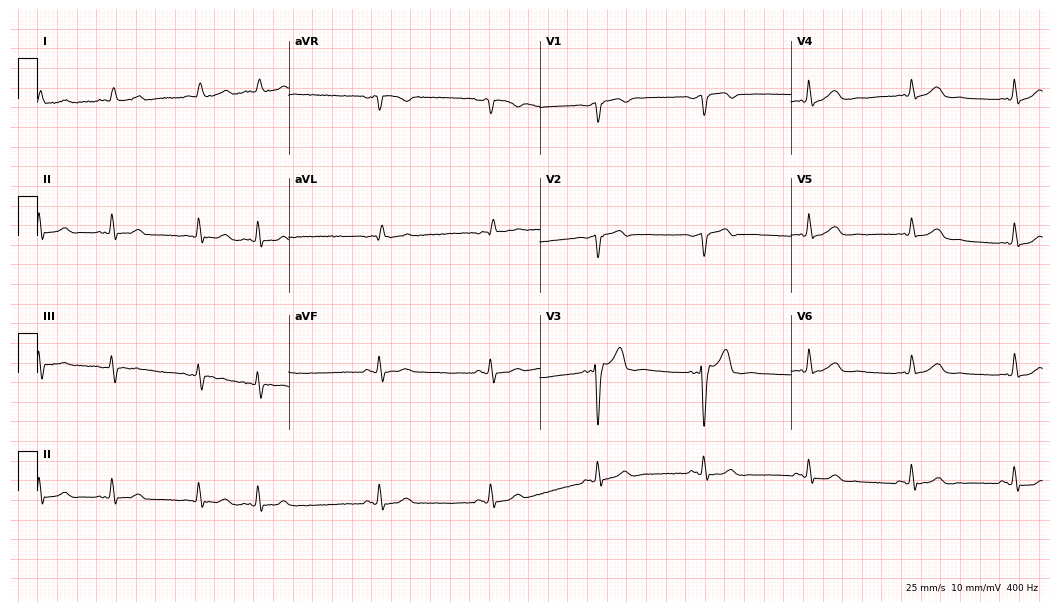
12-lead ECG (10.2-second recording at 400 Hz) from a male, 81 years old. Labelled as a normal ECG.